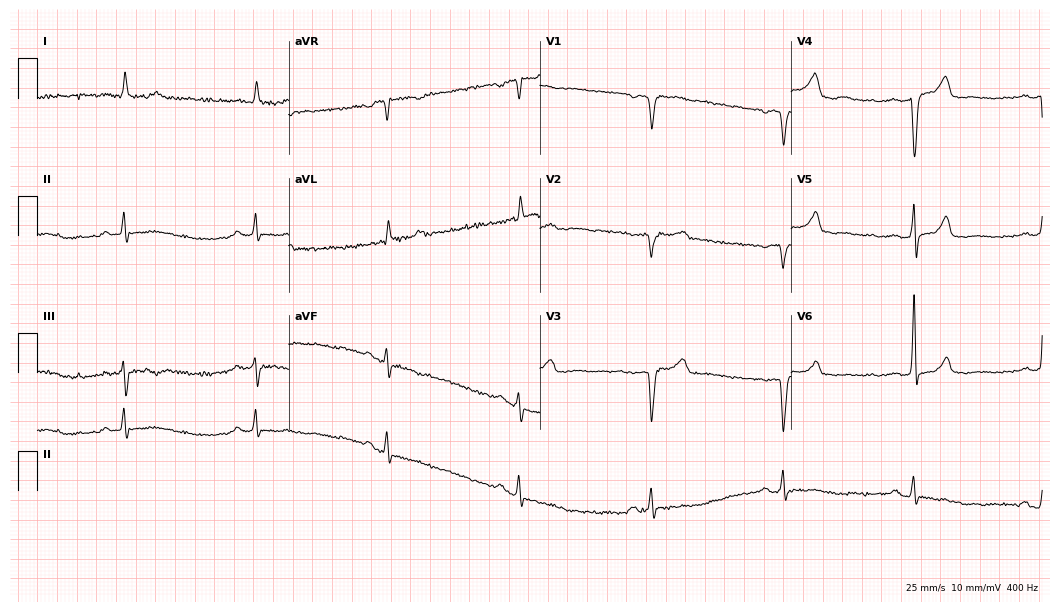
Standard 12-lead ECG recorded from a male patient, 83 years old (10.2-second recording at 400 Hz). None of these six findings is recorded: first-degree AV block, right bundle branch block, left bundle branch block, sinus bradycardia, atrial fibrillation, sinus tachycardia.